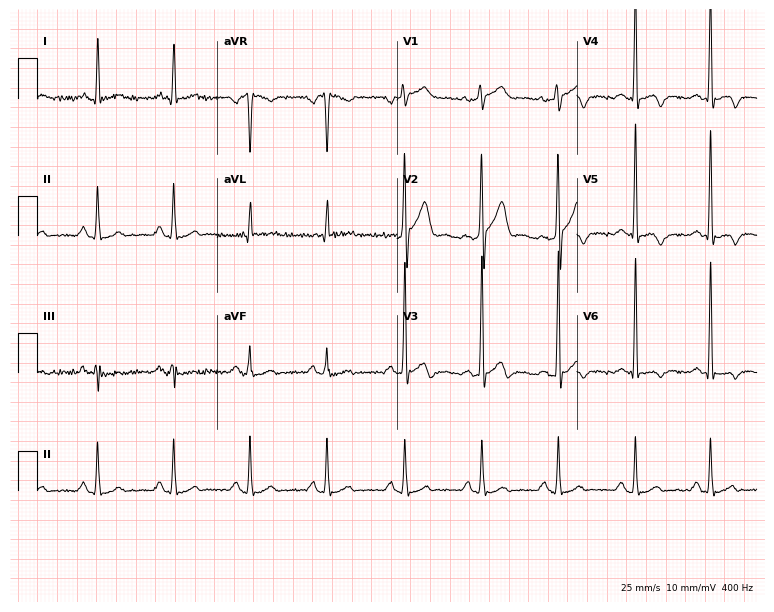
Resting 12-lead electrocardiogram (7.3-second recording at 400 Hz). Patient: a male, 47 years old. None of these six findings is recorded: first-degree AV block, right bundle branch block (RBBB), left bundle branch block (LBBB), sinus bradycardia, atrial fibrillation (AF), sinus tachycardia. Other findings, if any, are not listed.